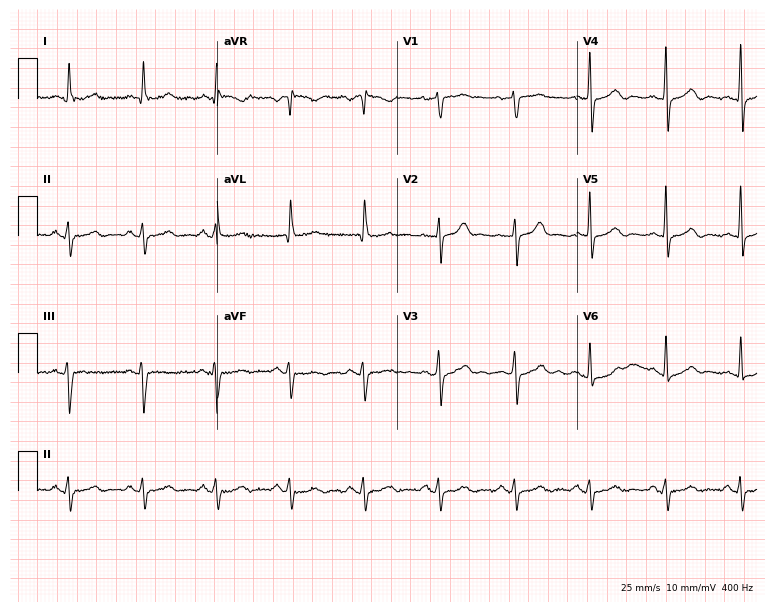
12-lead ECG (7.3-second recording at 400 Hz) from a male patient, 70 years old. Screened for six findings — first-degree AV block, right bundle branch block (RBBB), left bundle branch block (LBBB), sinus bradycardia, atrial fibrillation (AF), sinus tachycardia — none is recorded. Other findings, if any, are not listed.